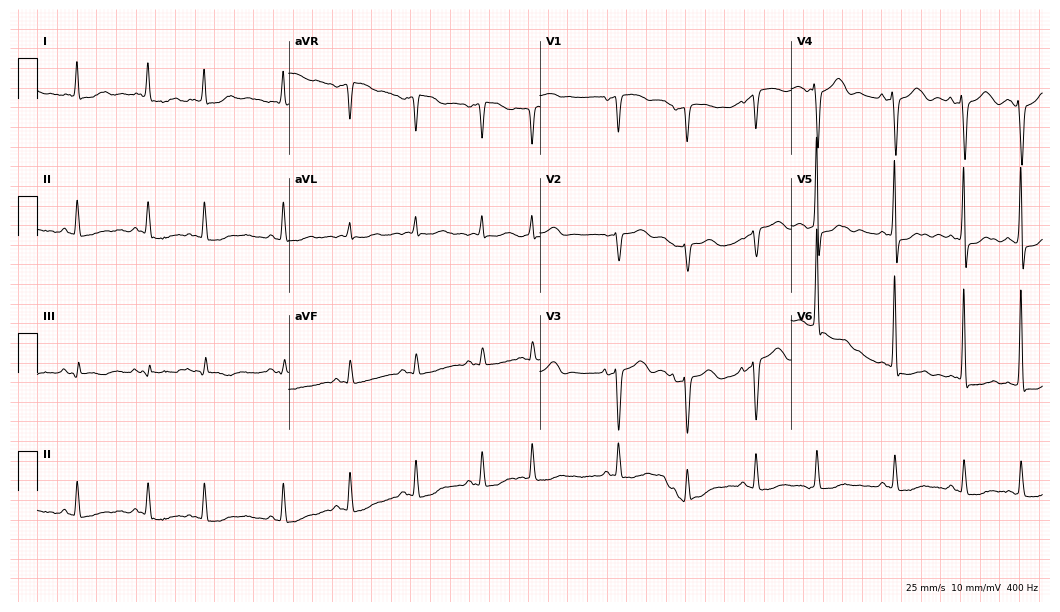
Electrocardiogram, an 84-year-old female patient. Of the six screened findings (first-degree AV block, right bundle branch block (RBBB), left bundle branch block (LBBB), sinus bradycardia, atrial fibrillation (AF), sinus tachycardia), none is recorded. Only these six findings were labelled.